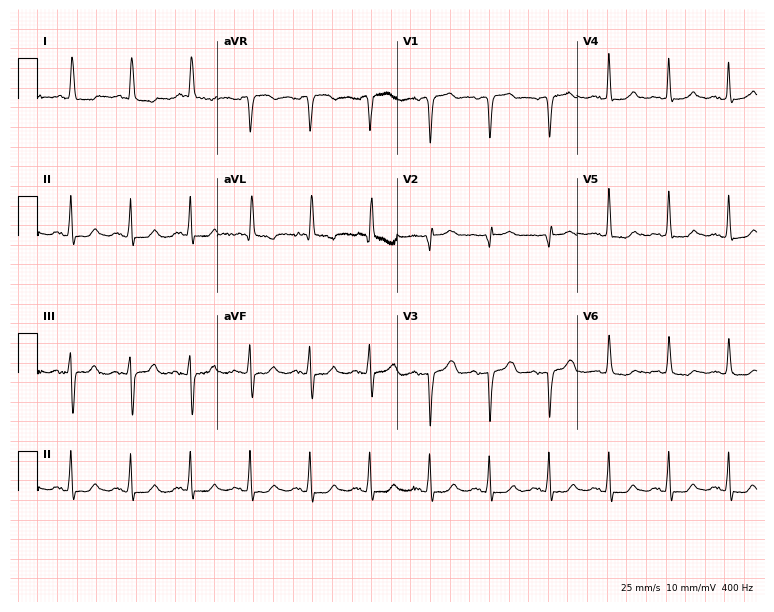
Standard 12-lead ECG recorded from a female patient, 68 years old. None of these six findings is recorded: first-degree AV block, right bundle branch block (RBBB), left bundle branch block (LBBB), sinus bradycardia, atrial fibrillation (AF), sinus tachycardia.